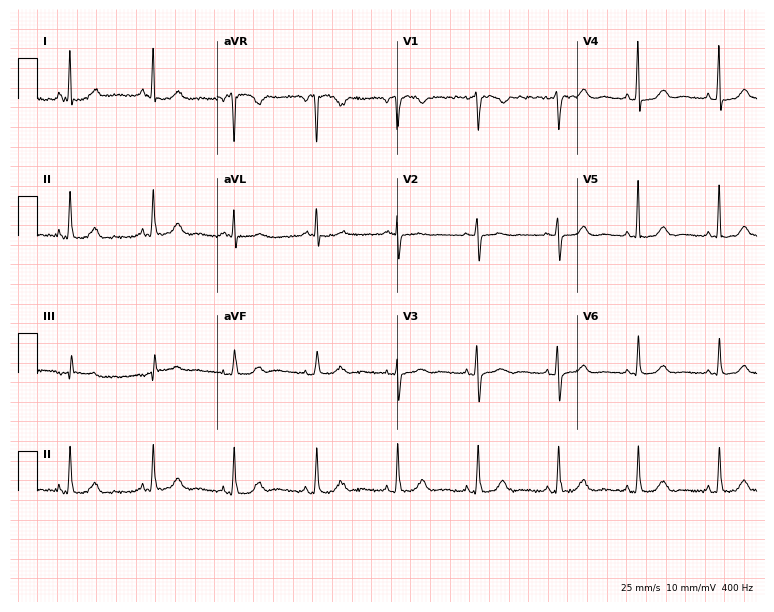
Electrocardiogram (7.3-second recording at 400 Hz), a 53-year-old female. Of the six screened findings (first-degree AV block, right bundle branch block, left bundle branch block, sinus bradycardia, atrial fibrillation, sinus tachycardia), none is recorded.